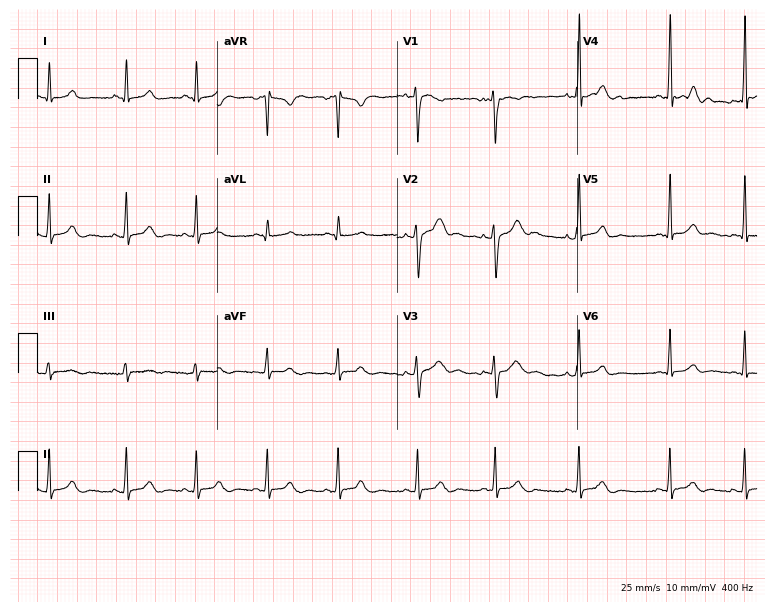
ECG (7.3-second recording at 400 Hz) — a male, 19 years old. Screened for six findings — first-degree AV block, right bundle branch block (RBBB), left bundle branch block (LBBB), sinus bradycardia, atrial fibrillation (AF), sinus tachycardia — none is recorded.